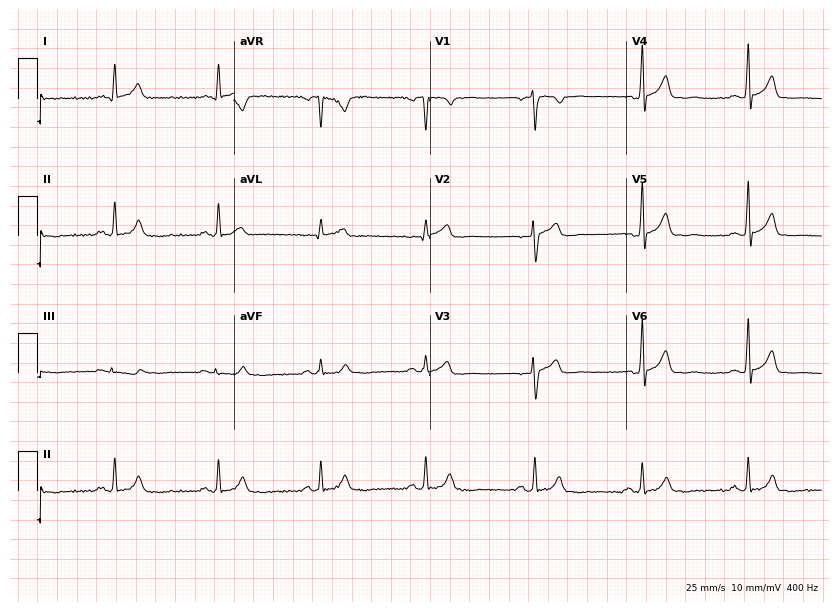
Standard 12-lead ECG recorded from a man, 39 years old. Read as a normal ECG.